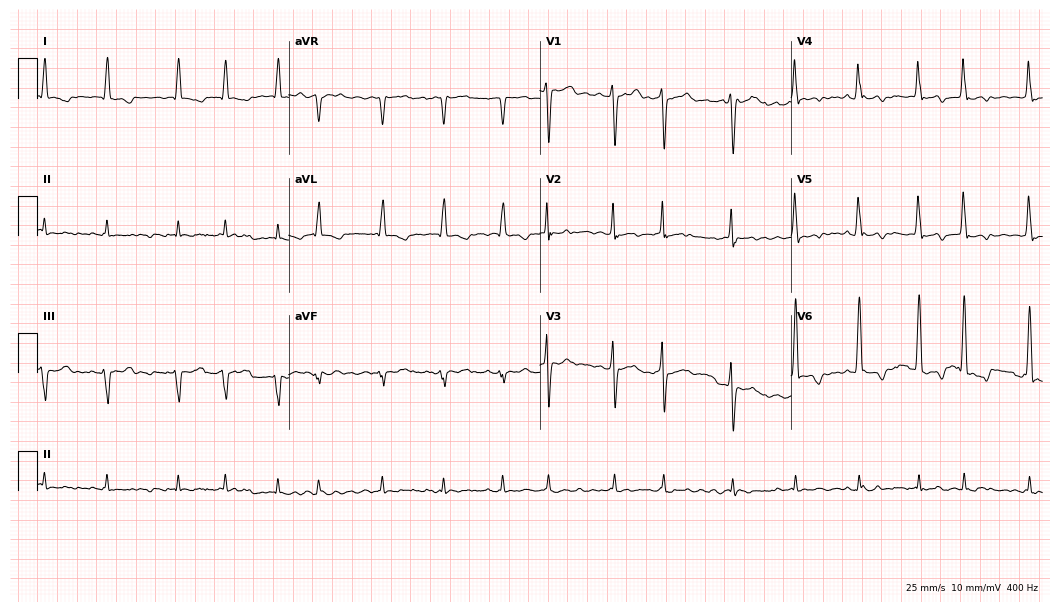
12-lead ECG (10.2-second recording at 400 Hz) from a 73-year-old man. Findings include atrial fibrillation (AF).